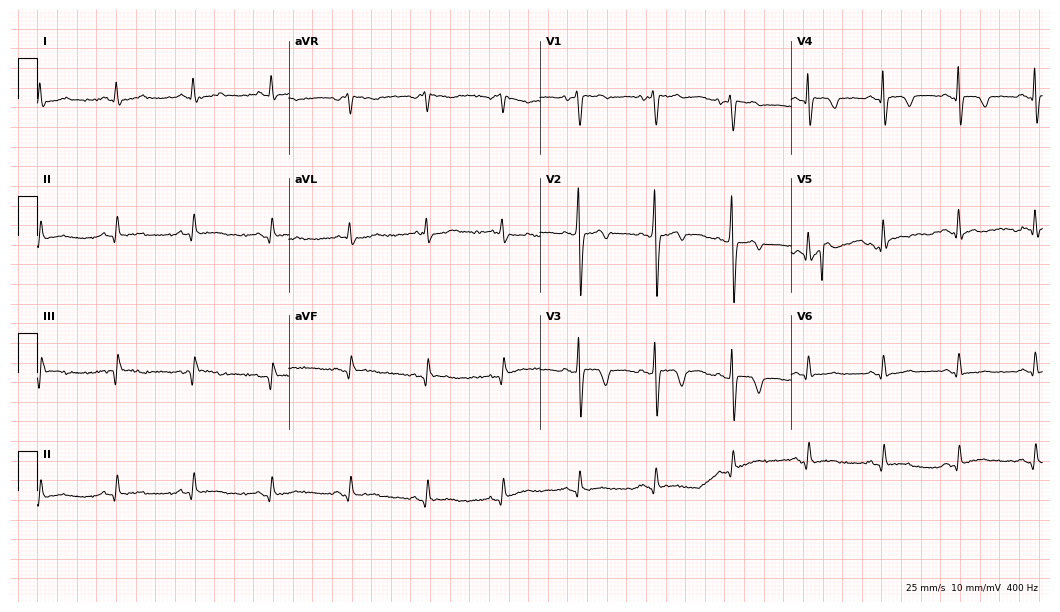
12-lead ECG from a male patient, 54 years old. Screened for six findings — first-degree AV block, right bundle branch block, left bundle branch block, sinus bradycardia, atrial fibrillation, sinus tachycardia — none is recorded.